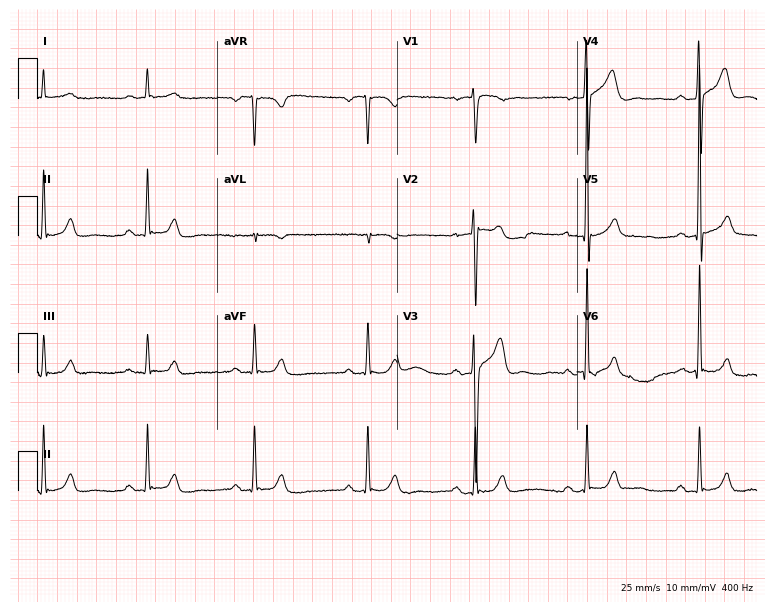
Resting 12-lead electrocardiogram (7.3-second recording at 400 Hz). Patient: a 56-year-old male. Read as a normal ECG.